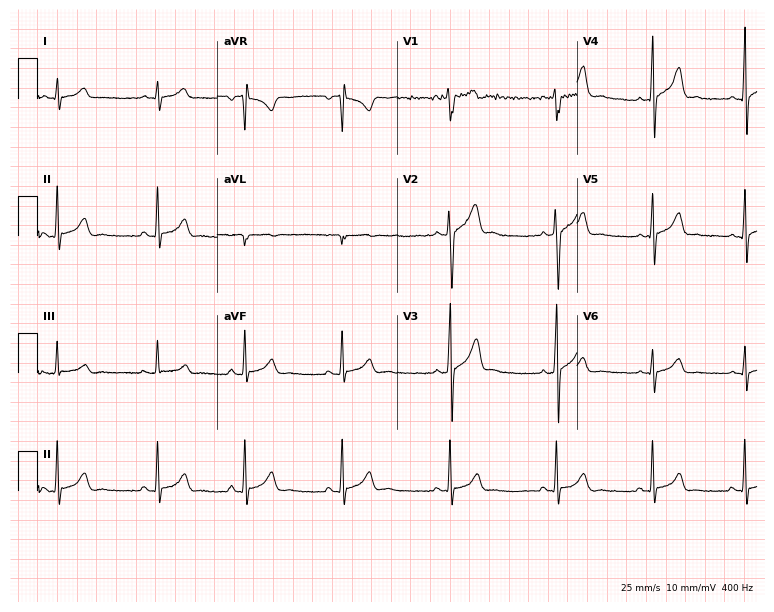
Standard 12-lead ECG recorded from a man, 18 years old. Read as a normal ECG.